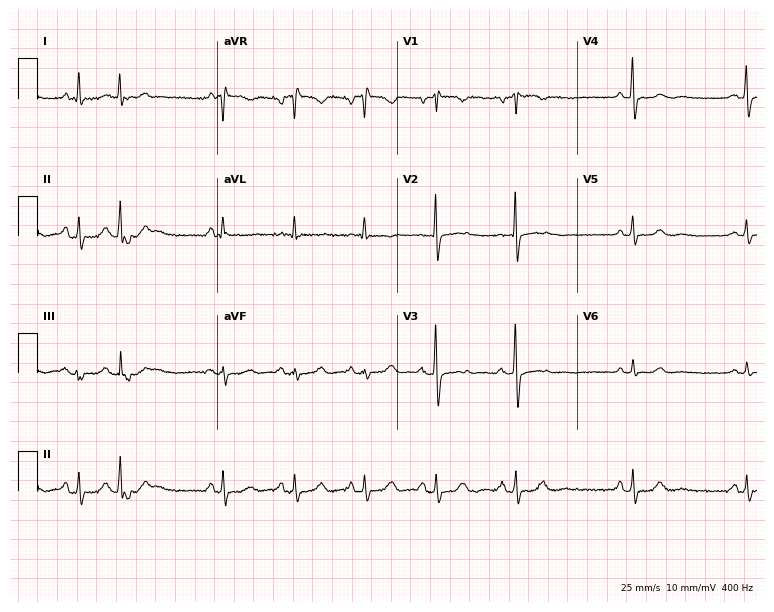
Standard 12-lead ECG recorded from a female, 72 years old (7.3-second recording at 400 Hz). Read as a normal ECG.